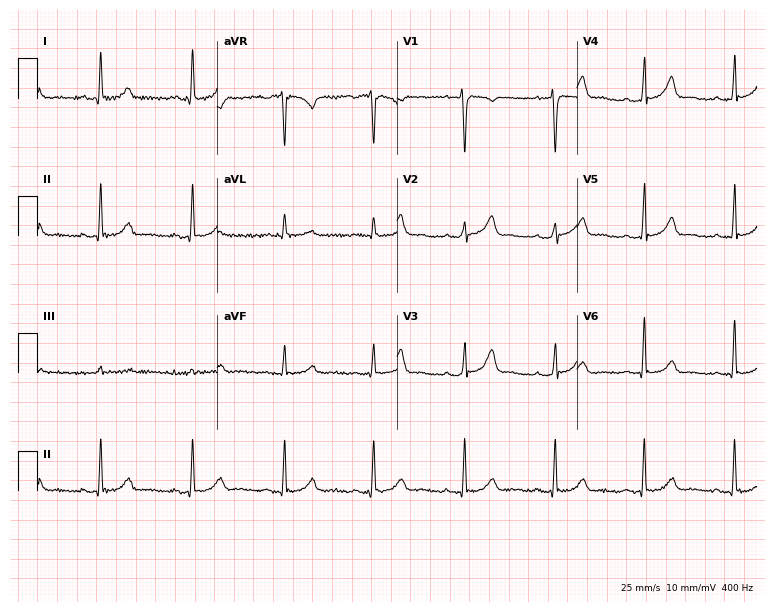
12-lead ECG from a 41-year-old woman. Findings include first-degree AV block.